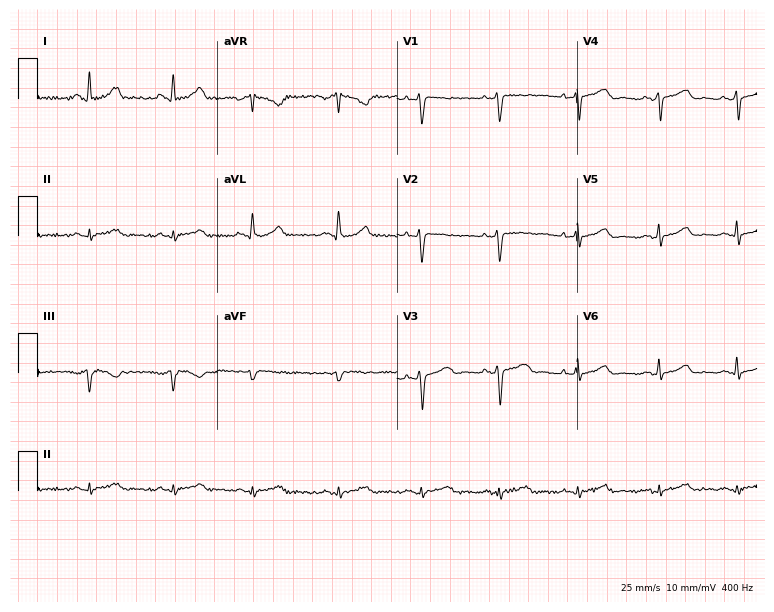
ECG — a female patient, 31 years old. Screened for six findings — first-degree AV block, right bundle branch block, left bundle branch block, sinus bradycardia, atrial fibrillation, sinus tachycardia — none is recorded. Only these six findings were labelled.